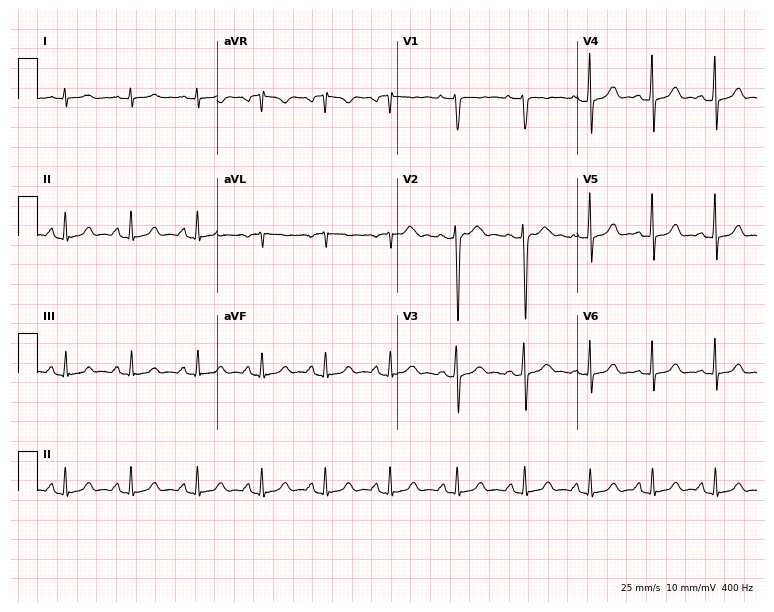
12-lead ECG (7.3-second recording at 400 Hz) from a 24-year-old female. Screened for six findings — first-degree AV block, right bundle branch block (RBBB), left bundle branch block (LBBB), sinus bradycardia, atrial fibrillation (AF), sinus tachycardia — none is recorded.